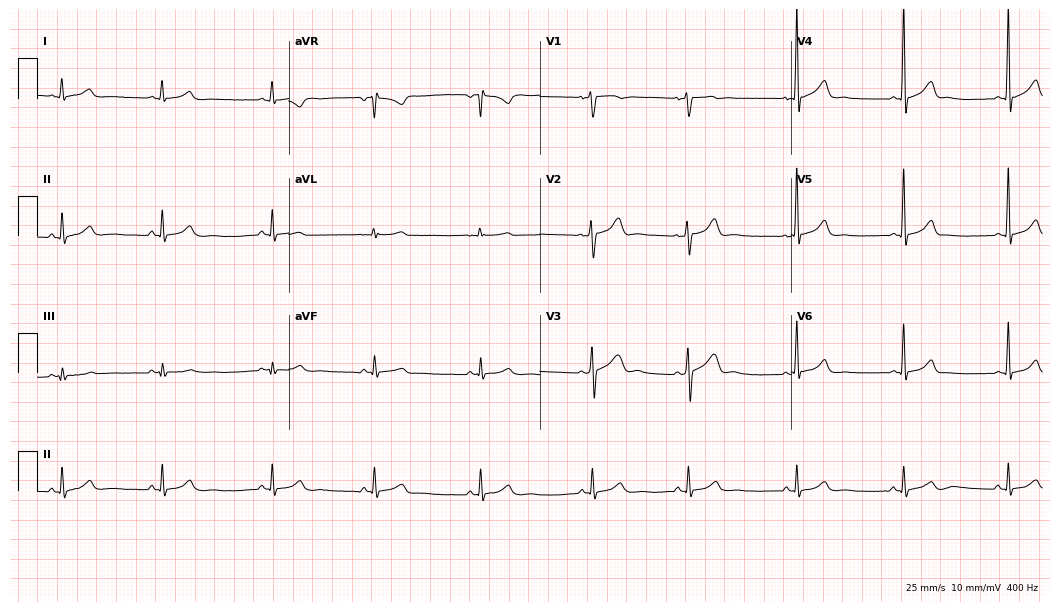
Electrocardiogram (10.2-second recording at 400 Hz), a 24-year-old male patient. Overall reading on record: normal ECG.